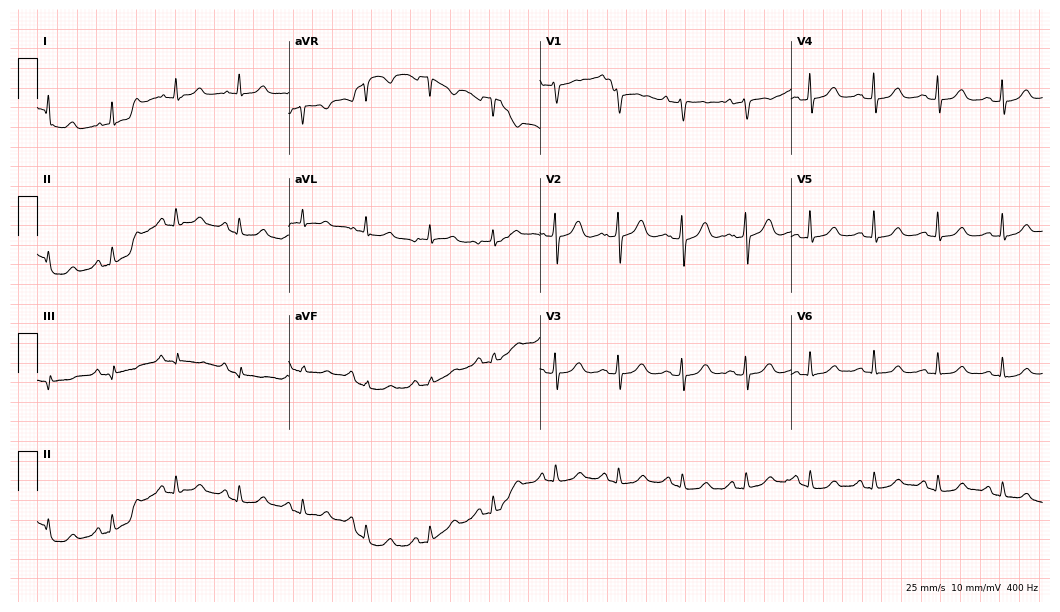
Standard 12-lead ECG recorded from a 64-year-old female patient. Read as a normal ECG.